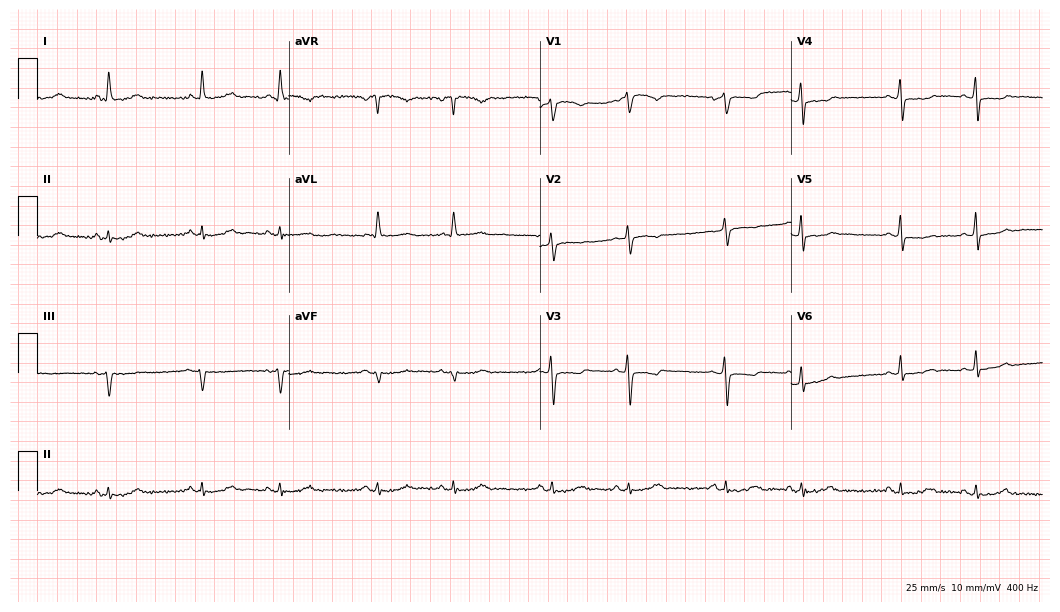
12-lead ECG (10.2-second recording at 400 Hz) from a 59-year-old female patient. Screened for six findings — first-degree AV block, right bundle branch block (RBBB), left bundle branch block (LBBB), sinus bradycardia, atrial fibrillation (AF), sinus tachycardia — none is recorded. Other findings, if any, are not listed.